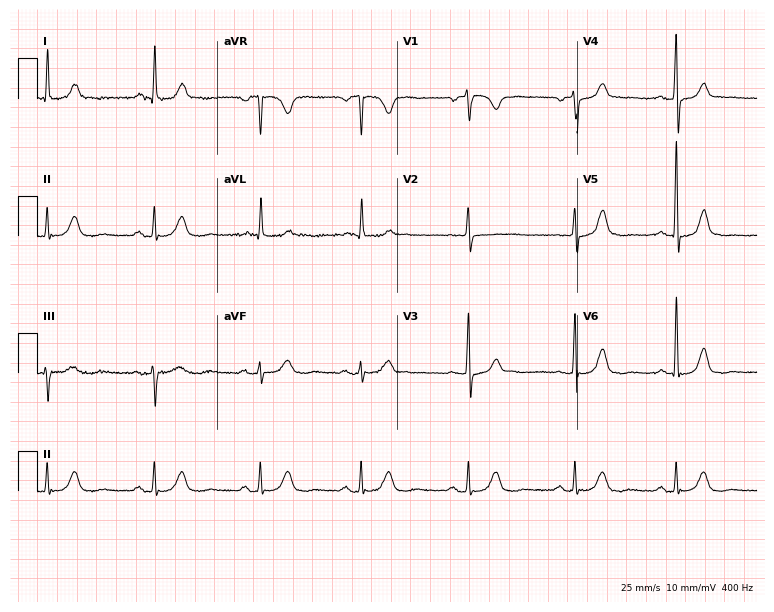
12-lead ECG from a woman, 67 years old (7.3-second recording at 400 Hz). No first-degree AV block, right bundle branch block (RBBB), left bundle branch block (LBBB), sinus bradycardia, atrial fibrillation (AF) or sinus tachycardia recorded for this tracing. Only these six findings were labelled.